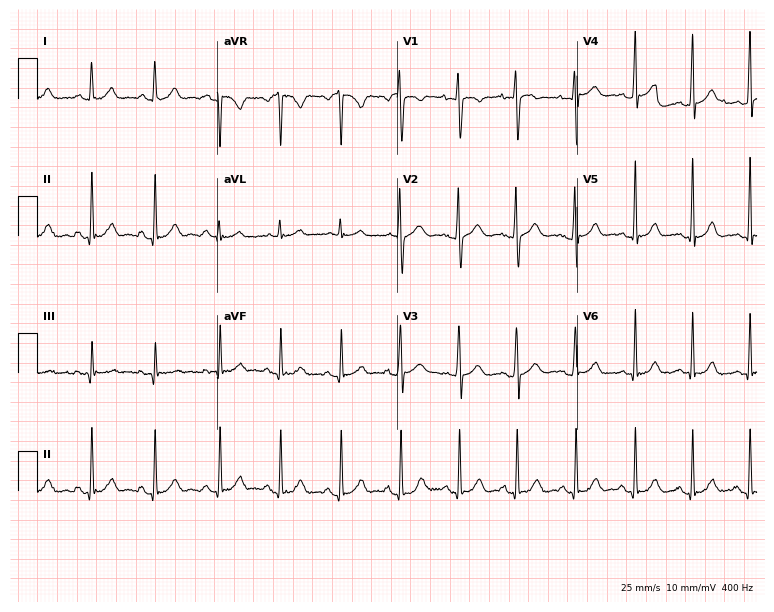
12-lead ECG (7.3-second recording at 400 Hz) from a 17-year-old female. Labelled as a normal ECG.